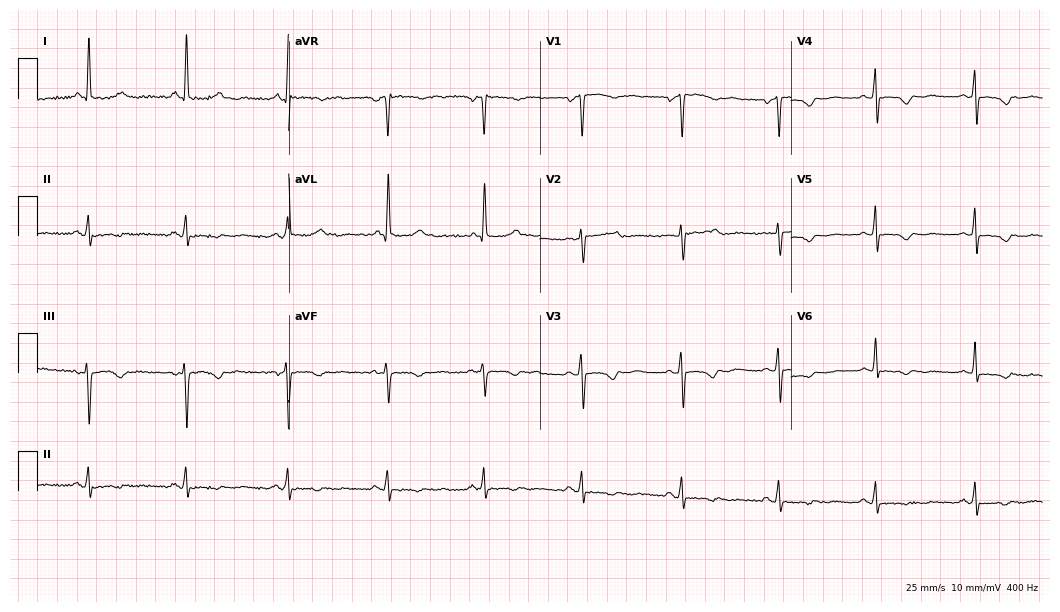
Standard 12-lead ECG recorded from a 68-year-old female (10.2-second recording at 400 Hz). None of these six findings is recorded: first-degree AV block, right bundle branch block, left bundle branch block, sinus bradycardia, atrial fibrillation, sinus tachycardia. Findings outside these six are not listed.